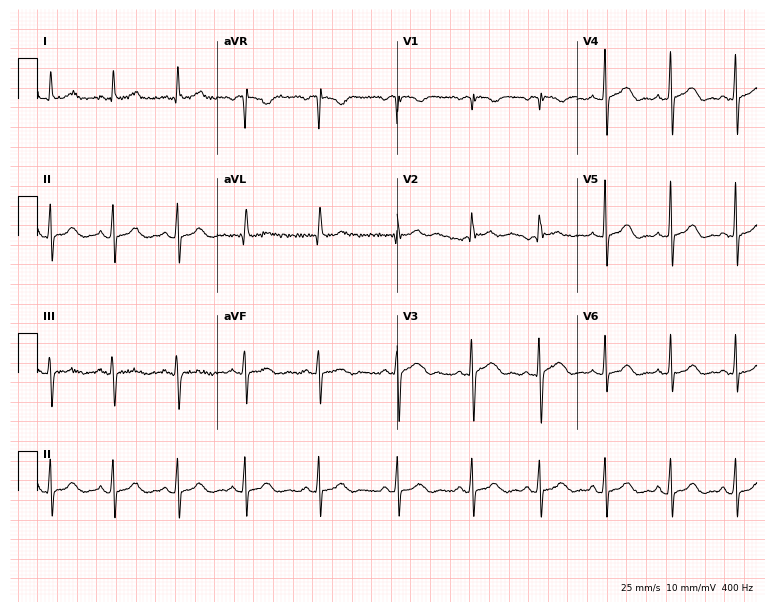
Standard 12-lead ECG recorded from a woman, 35 years old (7.3-second recording at 400 Hz). Read as a normal ECG.